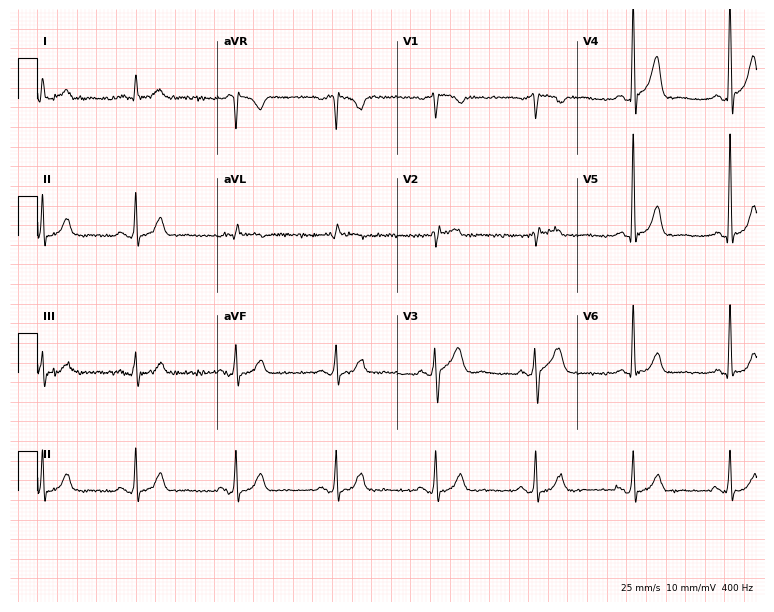
ECG — a 71-year-old male patient. Screened for six findings — first-degree AV block, right bundle branch block (RBBB), left bundle branch block (LBBB), sinus bradycardia, atrial fibrillation (AF), sinus tachycardia — none is recorded. Other findings, if any, are not listed.